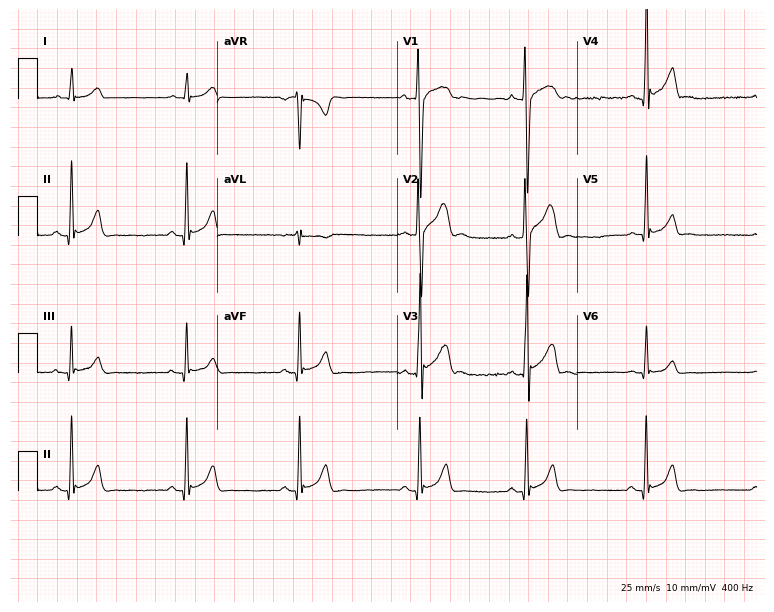
Standard 12-lead ECG recorded from an 18-year-old male patient (7.3-second recording at 400 Hz). Read as a normal ECG.